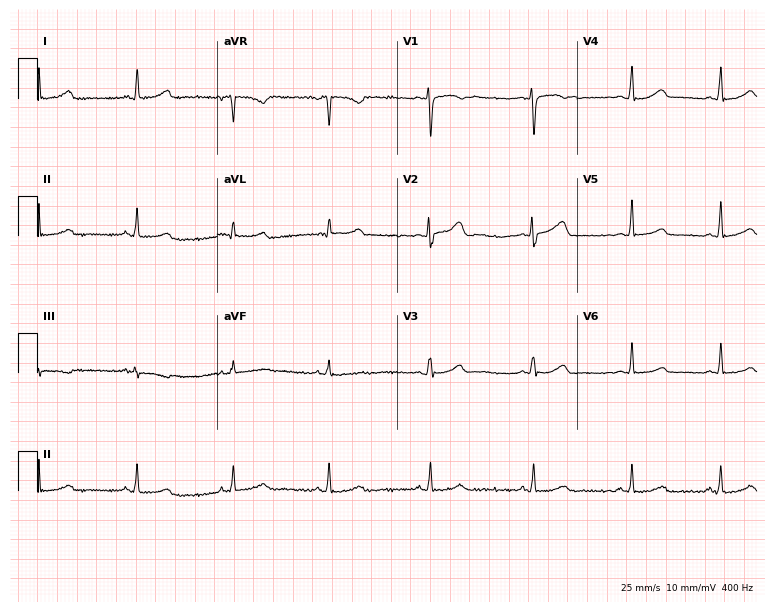
Electrocardiogram, a 40-year-old woman. Overall reading on record: normal ECG.